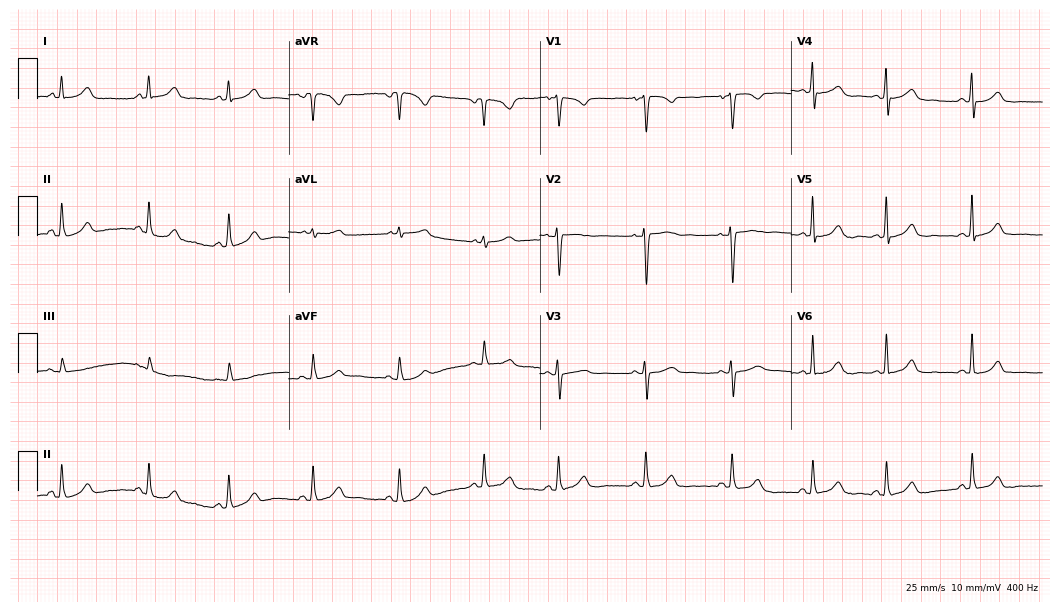
12-lead ECG from a 52-year-old female. Screened for six findings — first-degree AV block, right bundle branch block (RBBB), left bundle branch block (LBBB), sinus bradycardia, atrial fibrillation (AF), sinus tachycardia — none is recorded. Only these six findings were labelled.